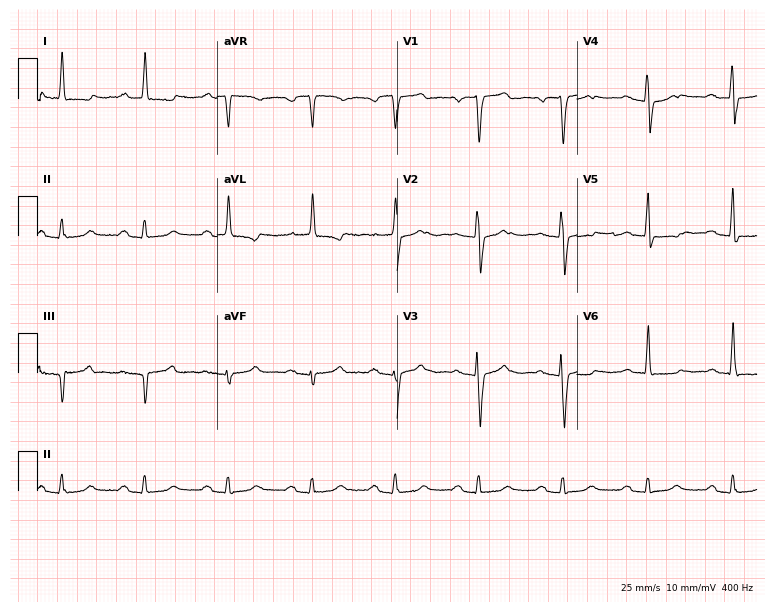
Standard 12-lead ECG recorded from an 84-year-old woman. The tracing shows first-degree AV block.